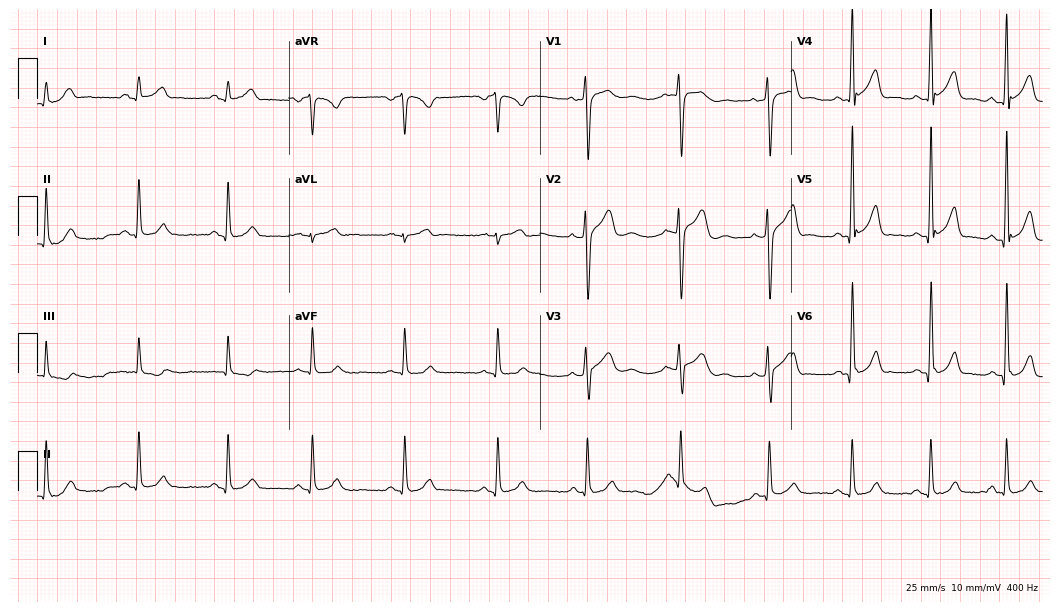
Electrocardiogram, an 18-year-old man. Of the six screened findings (first-degree AV block, right bundle branch block, left bundle branch block, sinus bradycardia, atrial fibrillation, sinus tachycardia), none is recorded. Only these six findings were labelled.